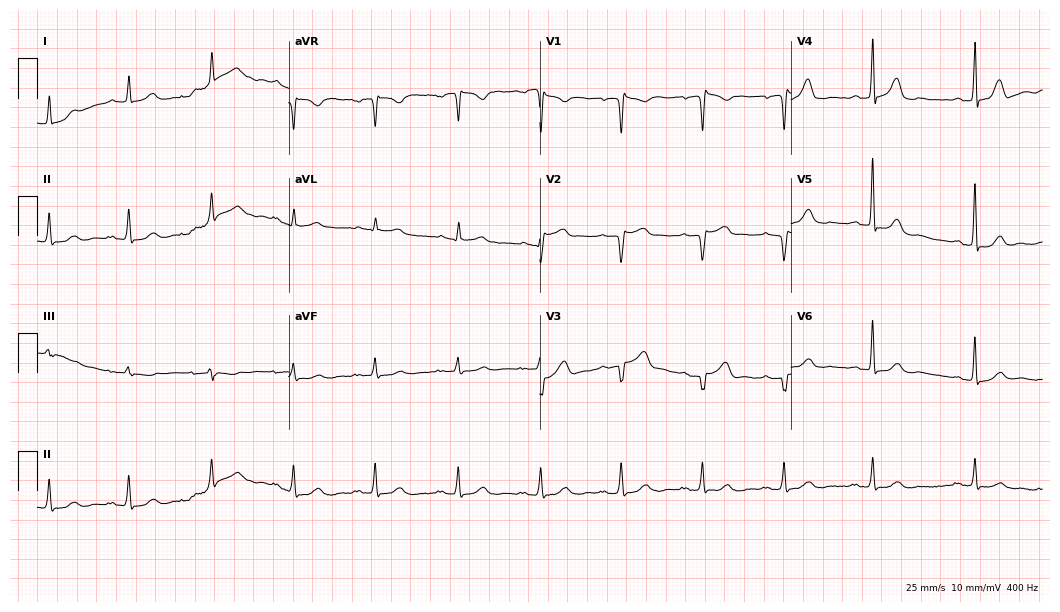
Electrocardiogram (10.2-second recording at 400 Hz), a male, 76 years old. Of the six screened findings (first-degree AV block, right bundle branch block, left bundle branch block, sinus bradycardia, atrial fibrillation, sinus tachycardia), none is recorded. Only these six findings were labelled.